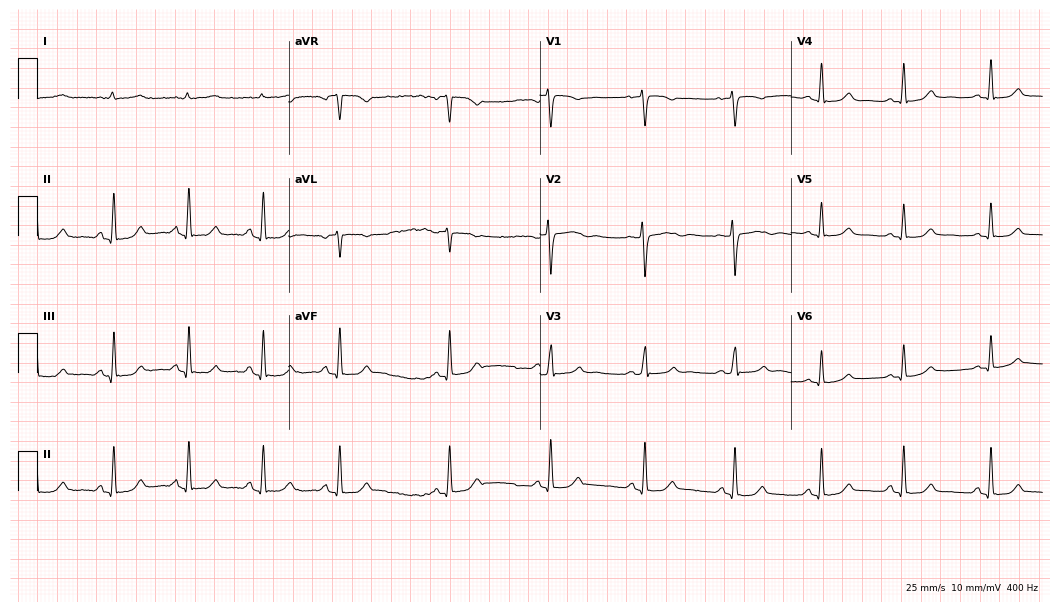
Standard 12-lead ECG recorded from a woman, 38 years old. Read as a normal ECG.